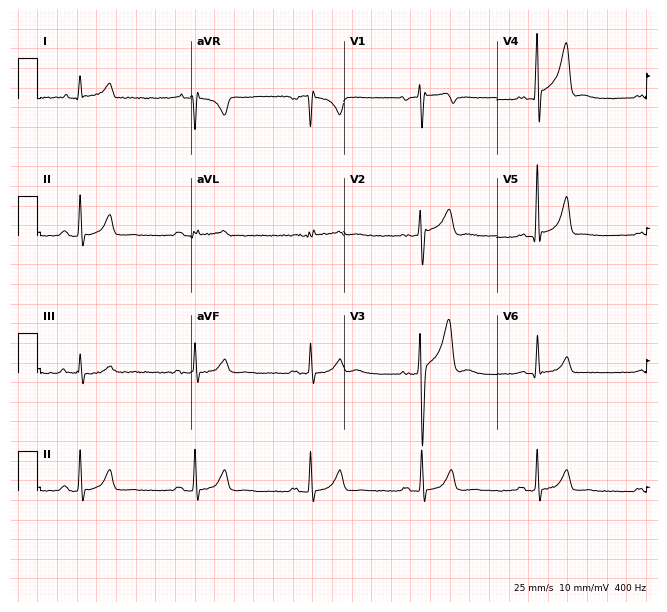
12-lead ECG from a 33-year-old male patient. Screened for six findings — first-degree AV block, right bundle branch block, left bundle branch block, sinus bradycardia, atrial fibrillation, sinus tachycardia — none is recorded.